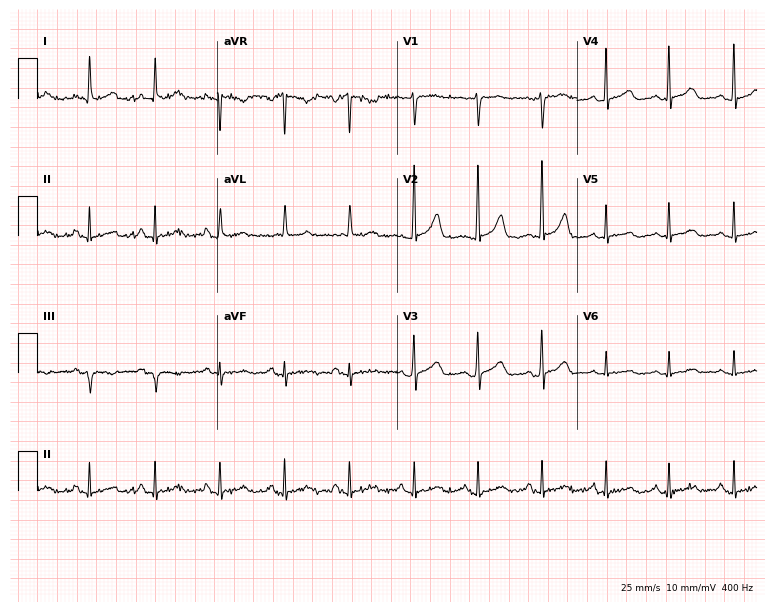
ECG — a female patient, 80 years old. Labelled as a normal ECG.